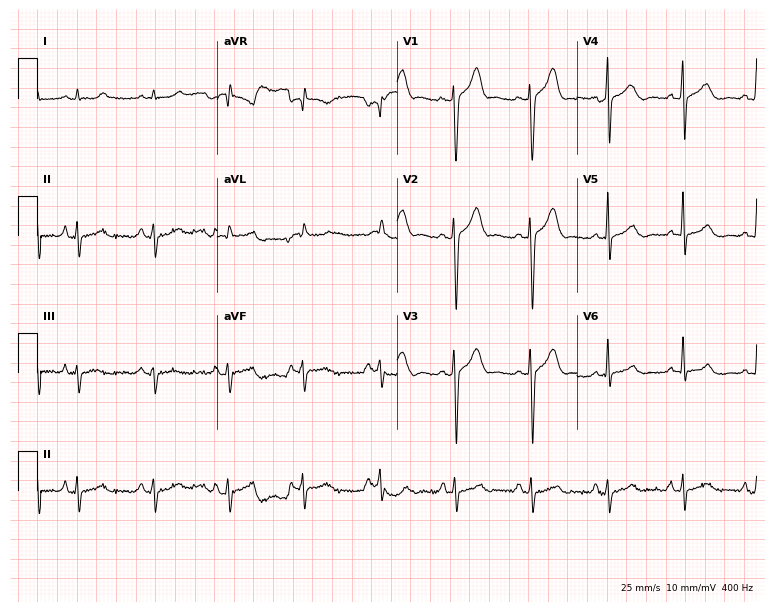
ECG — a 55-year-old male. Labelled as a normal ECG.